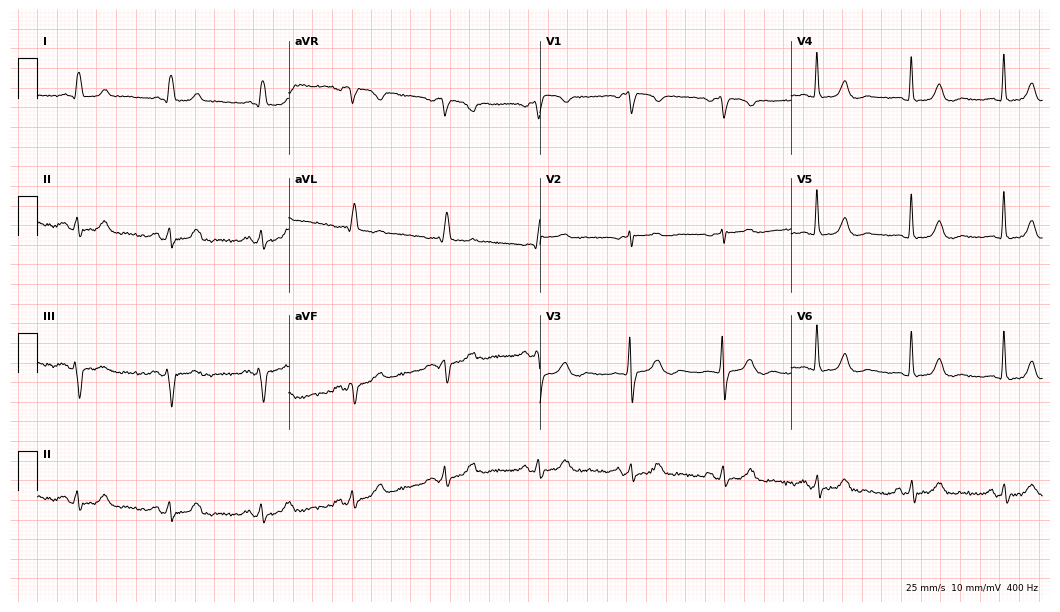
12-lead ECG from a female patient, 65 years old. Screened for six findings — first-degree AV block, right bundle branch block, left bundle branch block, sinus bradycardia, atrial fibrillation, sinus tachycardia — none is recorded. Only these six findings were labelled.